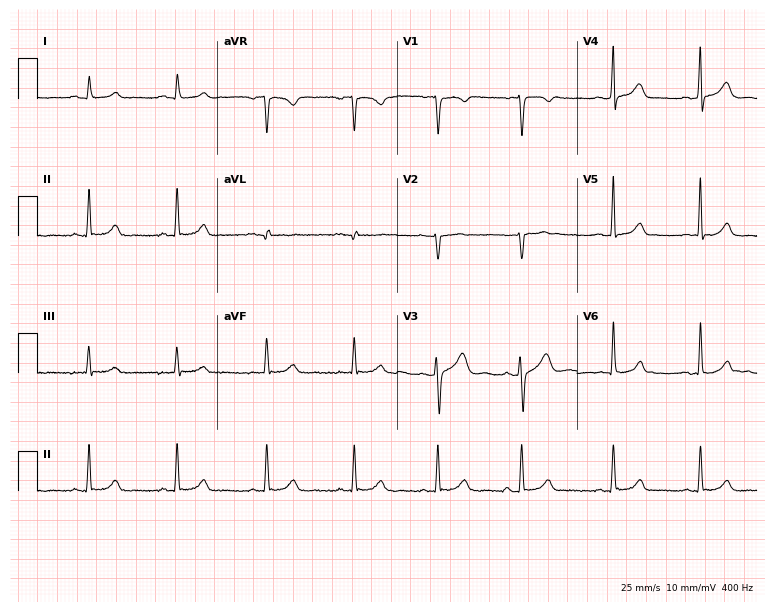
12-lead ECG (7.3-second recording at 400 Hz) from a female patient, 31 years old. Labelled as a normal ECG.